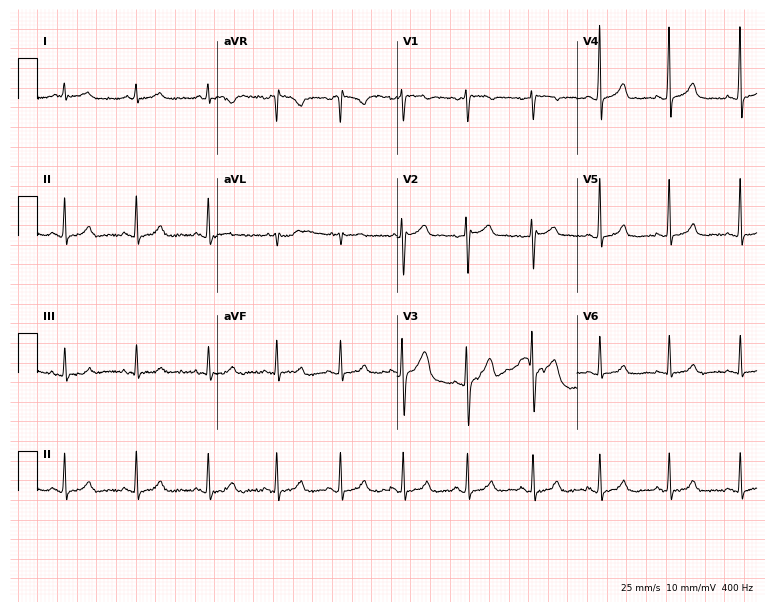
Standard 12-lead ECG recorded from a male, 61 years old (7.3-second recording at 400 Hz). Read as a normal ECG.